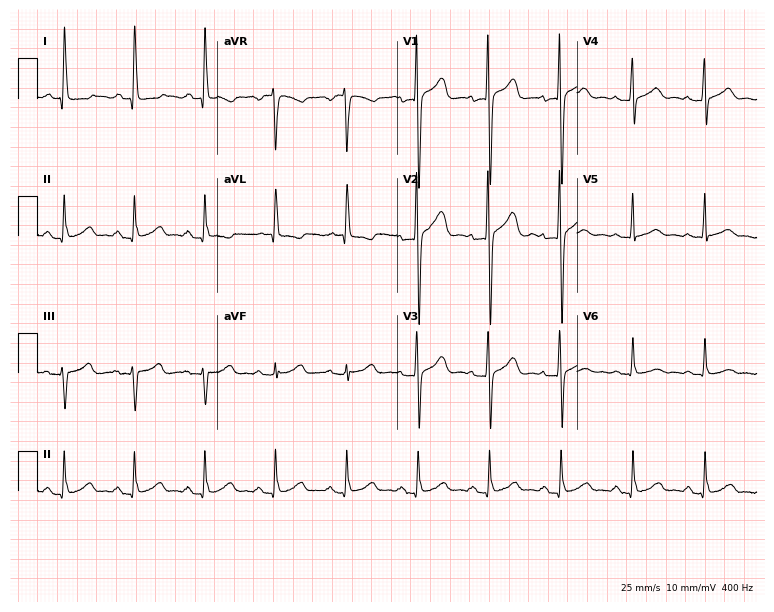
12-lead ECG (7.3-second recording at 400 Hz) from a 59-year-old woman. Screened for six findings — first-degree AV block, right bundle branch block, left bundle branch block, sinus bradycardia, atrial fibrillation, sinus tachycardia — none is recorded. Only these six findings were labelled.